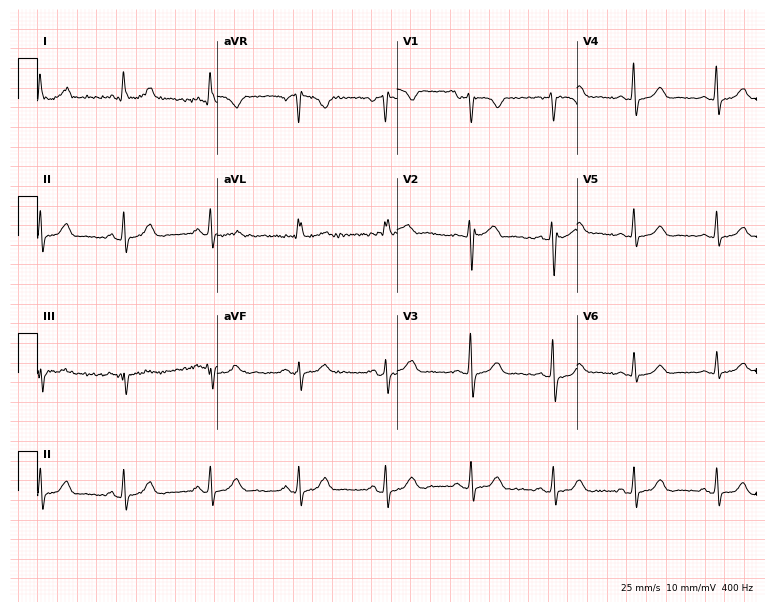
Electrocardiogram (7.3-second recording at 400 Hz), a woman, 63 years old. Of the six screened findings (first-degree AV block, right bundle branch block, left bundle branch block, sinus bradycardia, atrial fibrillation, sinus tachycardia), none is recorded.